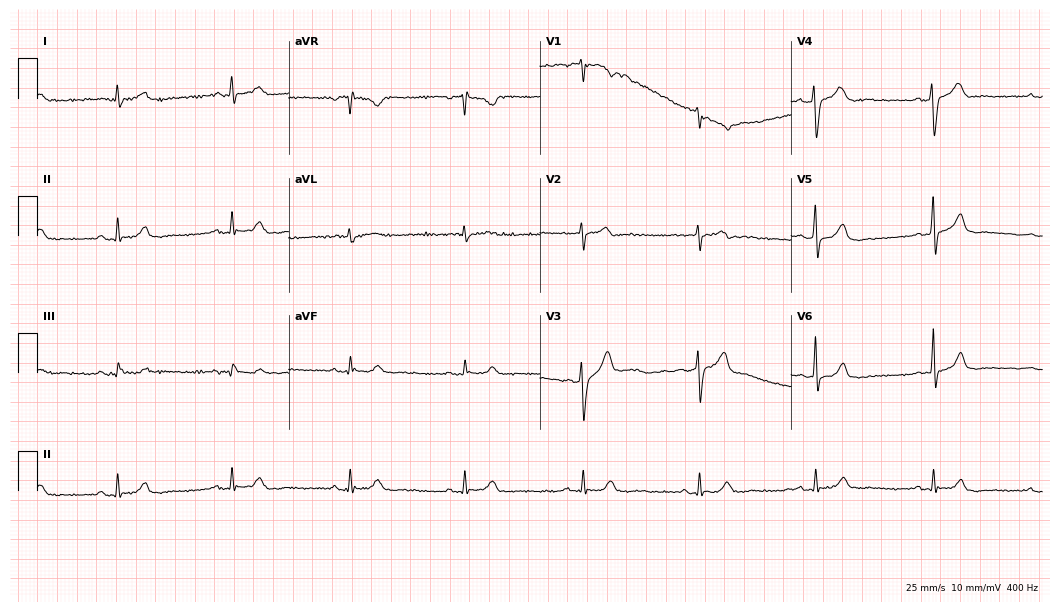
Standard 12-lead ECG recorded from a male patient, 51 years old (10.2-second recording at 400 Hz). Read as a normal ECG.